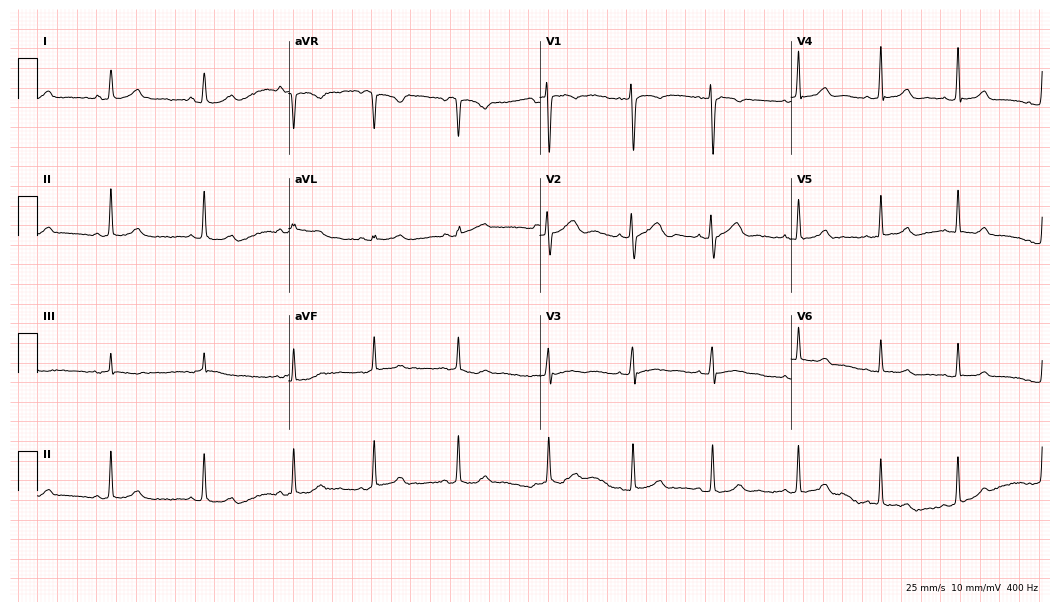
Electrocardiogram, a 20-year-old woman. Overall reading on record: normal ECG.